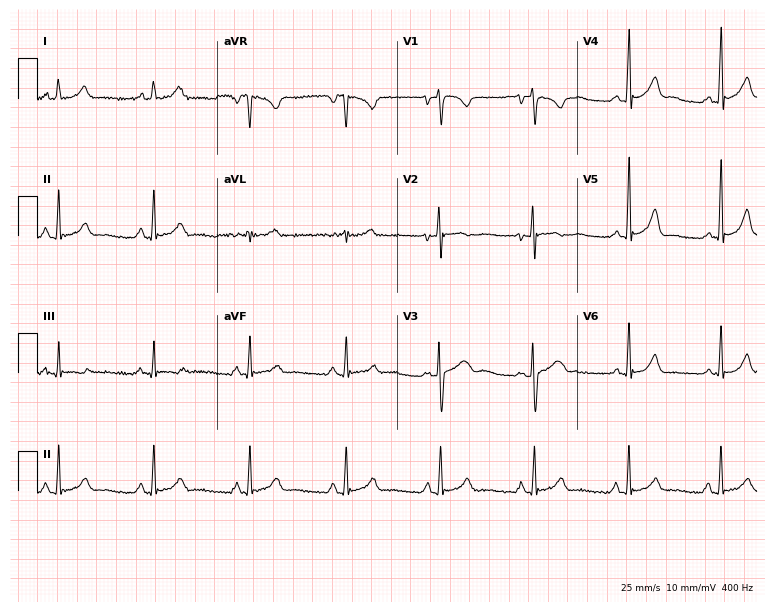
Resting 12-lead electrocardiogram (7.3-second recording at 400 Hz). Patient: a 24-year-old woman. Read as a normal ECG.